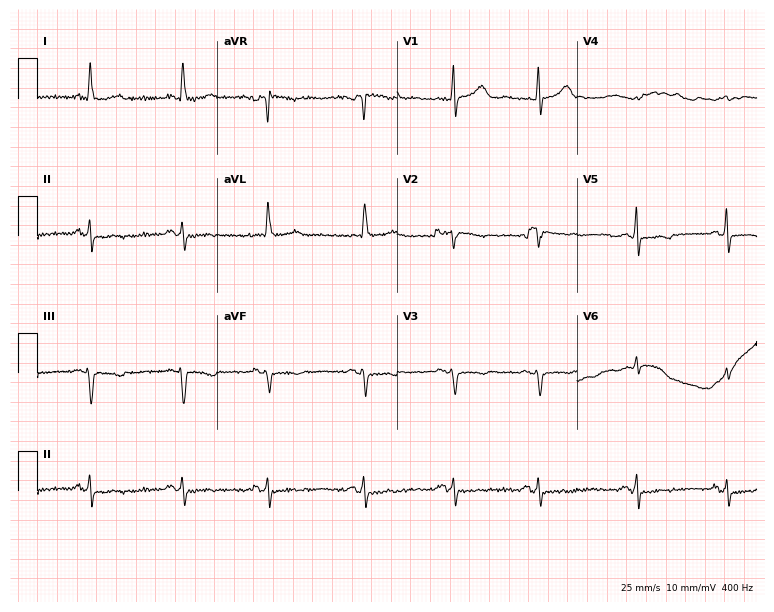
12-lead ECG from a 66-year-old female patient (7.3-second recording at 400 Hz). No first-degree AV block, right bundle branch block, left bundle branch block, sinus bradycardia, atrial fibrillation or sinus tachycardia recorded for this tracing. Only these six findings were labelled.